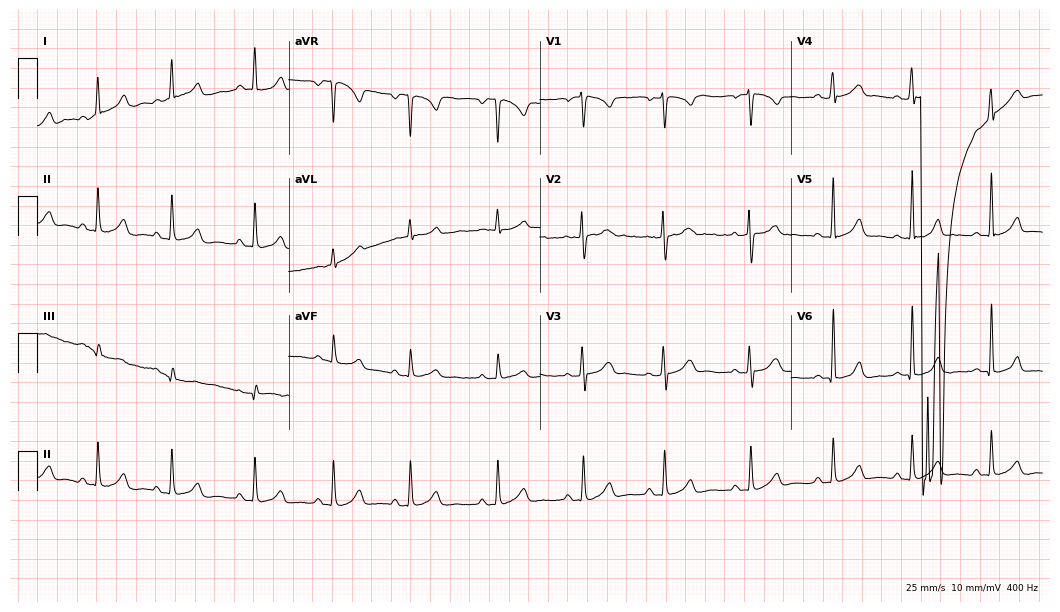
Standard 12-lead ECG recorded from a woman, 18 years old (10.2-second recording at 400 Hz). None of these six findings is recorded: first-degree AV block, right bundle branch block (RBBB), left bundle branch block (LBBB), sinus bradycardia, atrial fibrillation (AF), sinus tachycardia. Other findings, if any, are not listed.